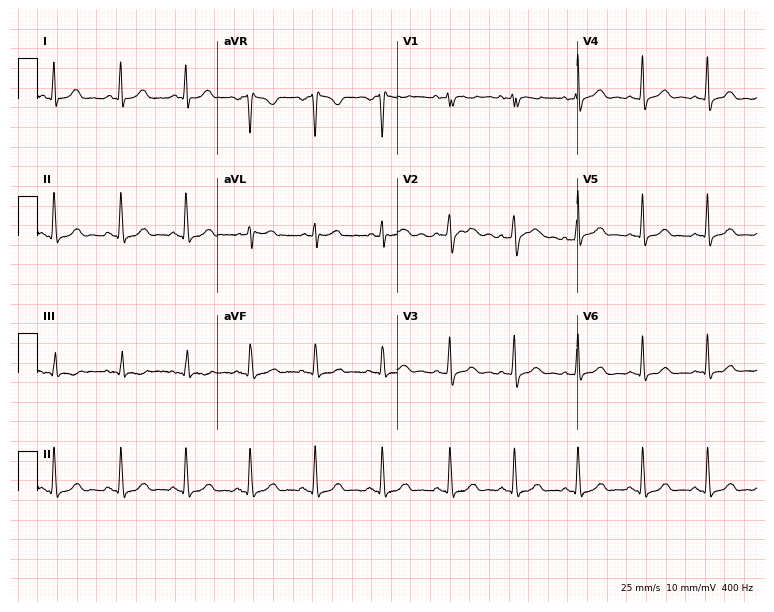
Resting 12-lead electrocardiogram. Patient: a 39-year-old female. Read as a normal ECG.